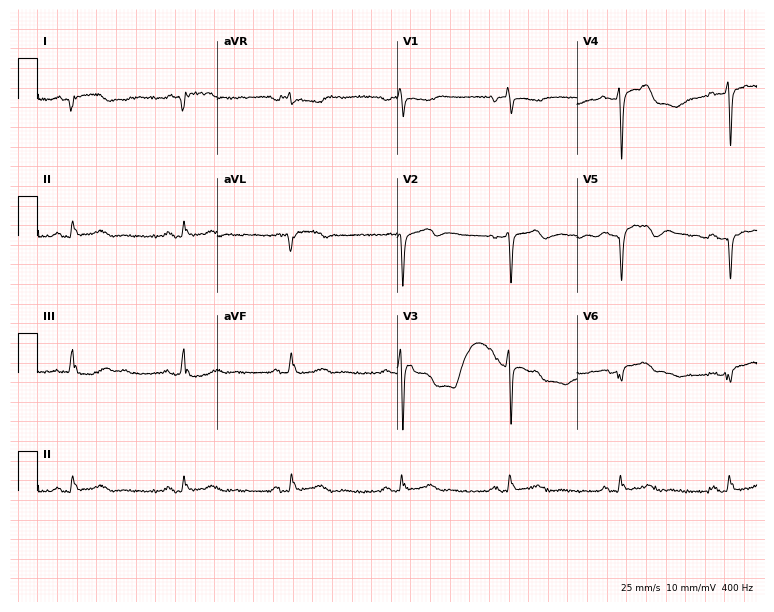
Electrocardiogram (7.3-second recording at 400 Hz), a 60-year-old male patient. Of the six screened findings (first-degree AV block, right bundle branch block, left bundle branch block, sinus bradycardia, atrial fibrillation, sinus tachycardia), none is recorded. Findings outside these six are not listed.